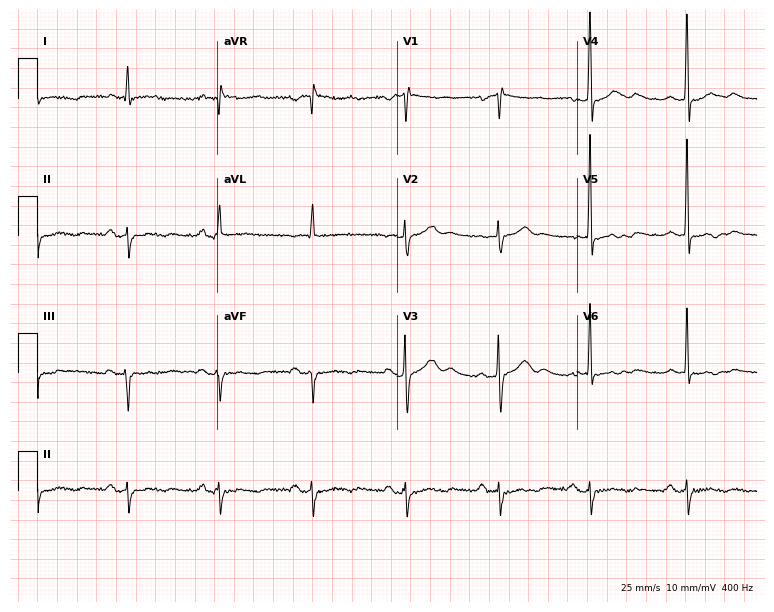
12-lead ECG from a man, 64 years old. No first-degree AV block, right bundle branch block, left bundle branch block, sinus bradycardia, atrial fibrillation or sinus tachycardia recorded for this tracing. Other findings, if any, are not listed.